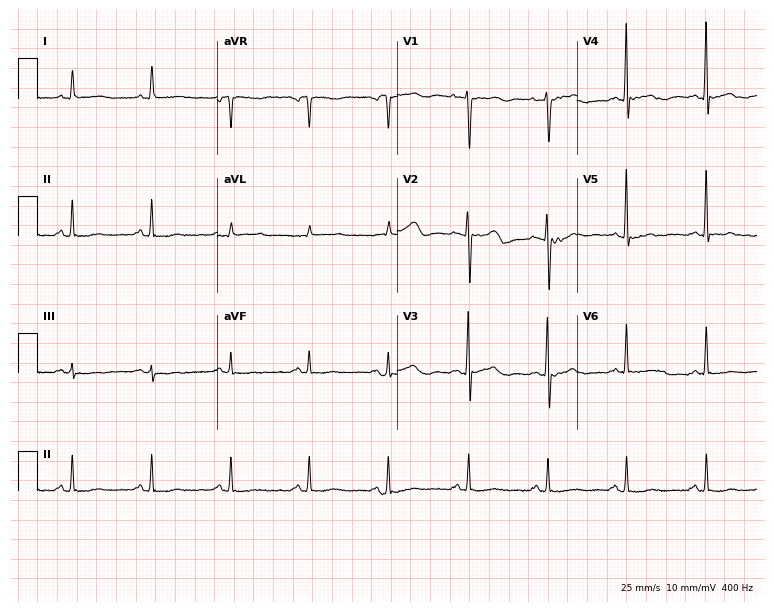
12-lead ECG from a female, 59 years old. No first-degree AV block, right bundle branch block (RBBB), left bundle branch block (LBBB), sinus bradycardia, atrial fibrillation (AF) or sinus tachycardia recorded for this tracing. Findings outside these six are not listed.